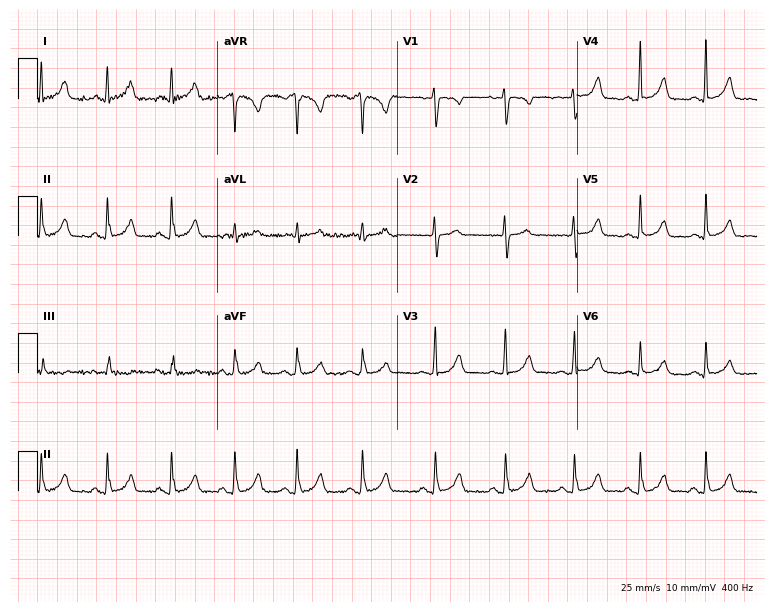
ECG — a 25-year-old female patient. Labelled as a normal ECG.